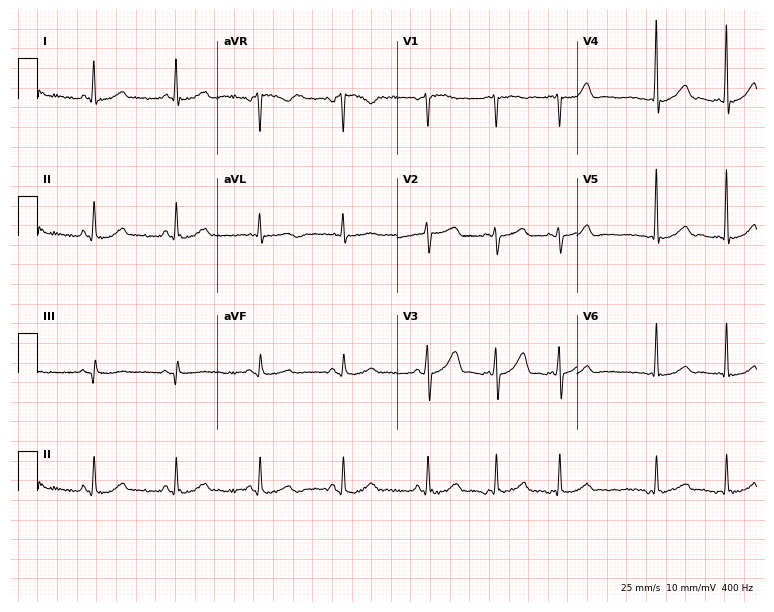
12-lead ECG from a 66-year-old male patient. Screened for six findings — first-degree AV block, right bundle branch block, left bundle branch block, sinus bradycardia, atrial fibrillation, sinus tachycardia — none is recorded.